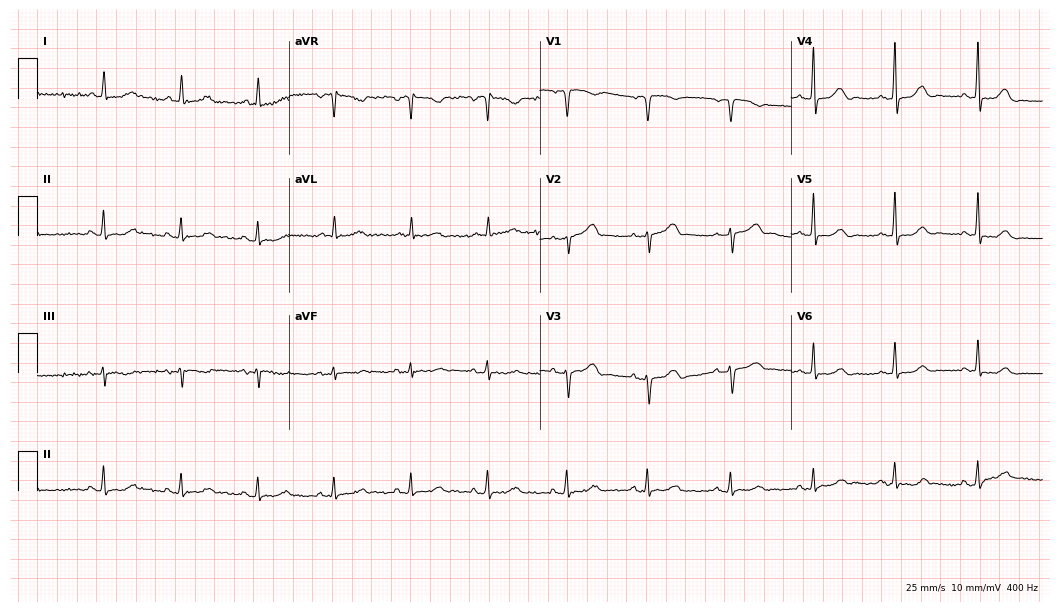
Electrocardiogram (10.2-second recording at 400 Hz), a female patient, 63 years old. Of the six screened findings (first-degree AV block, right bundle branch block, left bundle branch block, sinus bradycardia, atrial fibrillation, sinus tachycardia), none is recorded.